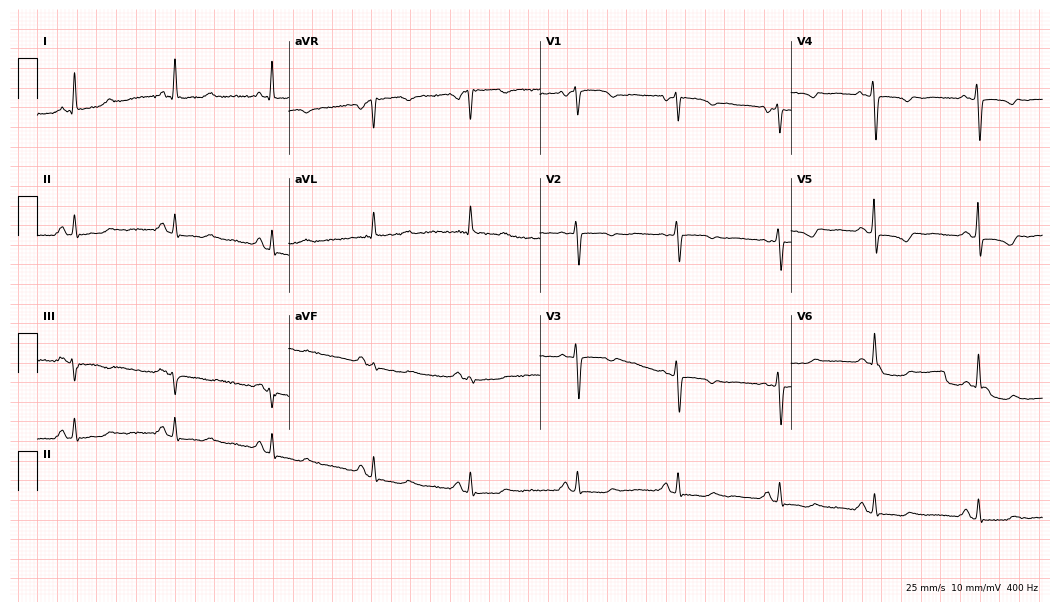
ECG — a female patient, 68 years old. Screened for six findings — first-degree AV block, right bundle branch block (RBBB), left bundle branch block (LBBB), sinus bradycardia, atrial fibrillation (AF), sinus tachycardia — none is recorded.